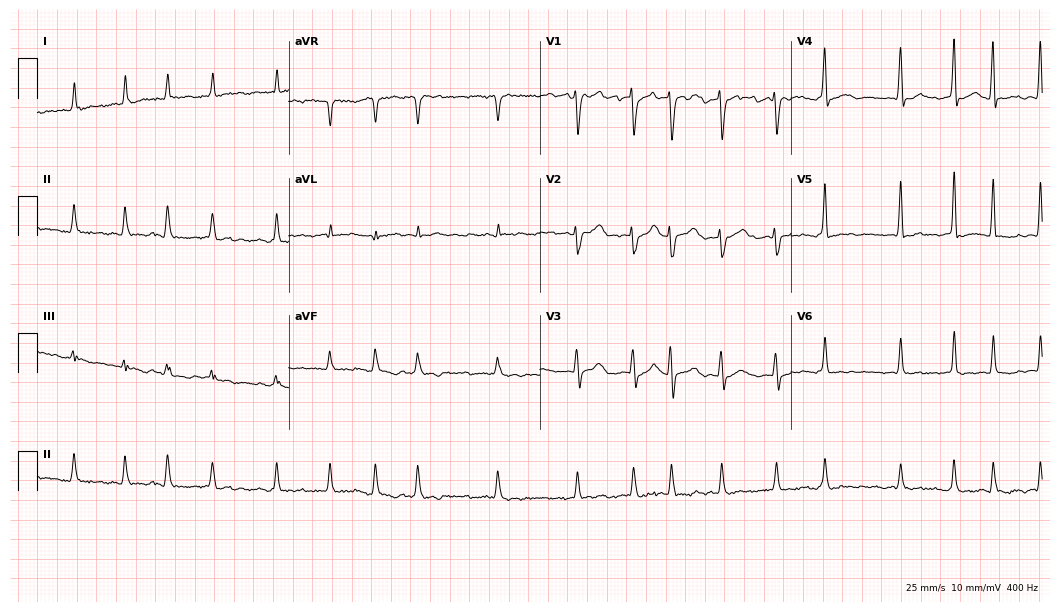
Standard 12-lead ECG recorded from a woman, 75 years old. The tracing shows atrial fibrillation.